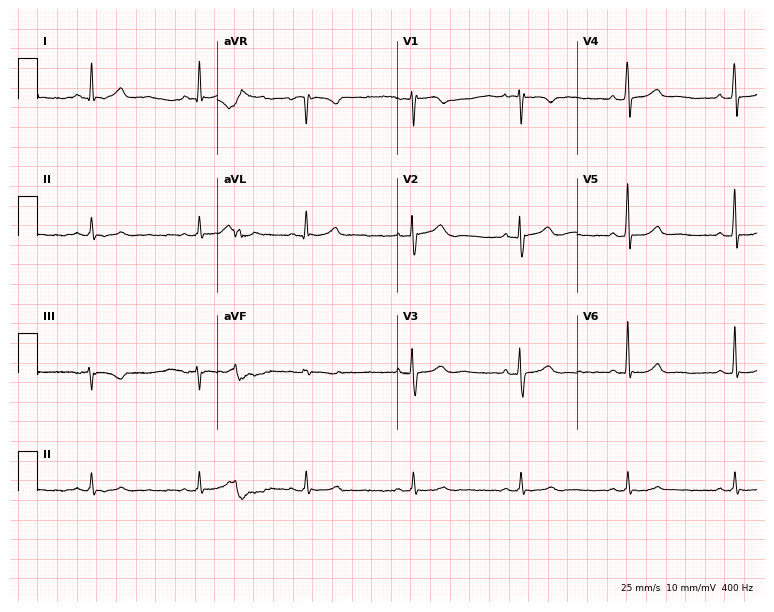
12-lead ECG from a 47-year-old male. No first-degree AV block, right bundle branch block, left bundle branch block, sinus bradycardia, atrial fibrillation or sinus tachycardia recorded for this tracing.